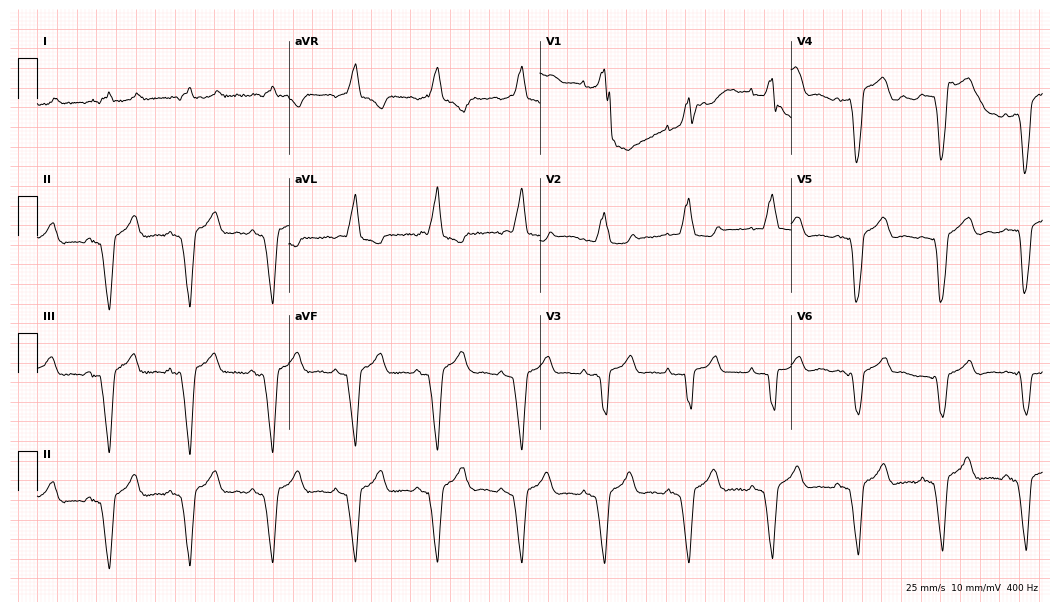
12-lead ECG (10.2-second recording at 400 Hz) from a 70-year-old male patient. Screened for six findings — first-degree AV block, right bundle branch block, left bundle branch block, sinus bradycardia, atrial fibrillation, sinus tachycardia — none is recorded. Findings outside these six are not listed.